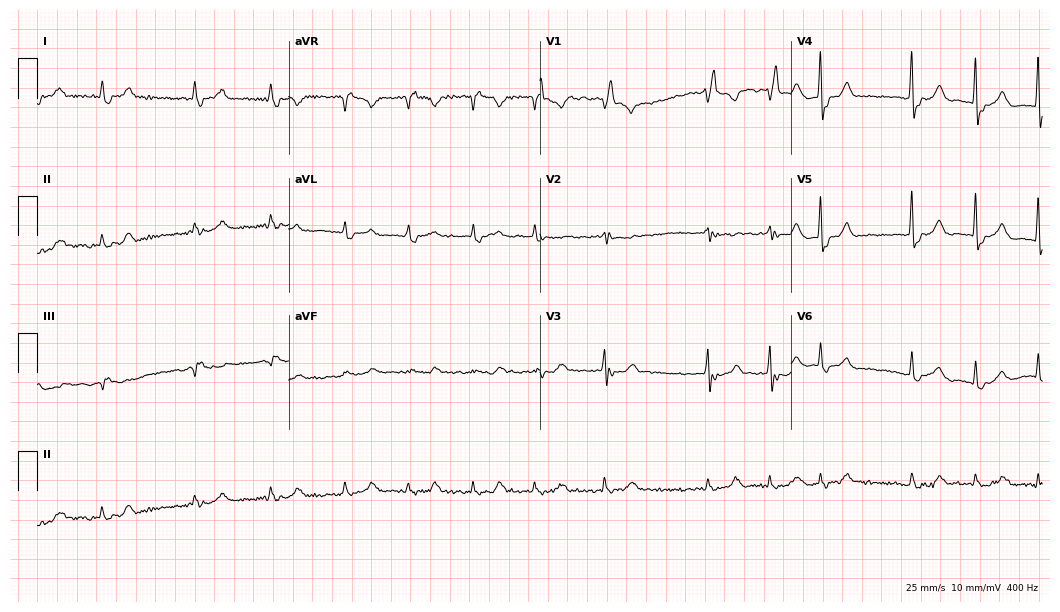
Resting 12-lead electrocardiogram. Patient: a male, 82 years old. The tracing shows right bundle branch block, atrial fibrillation.